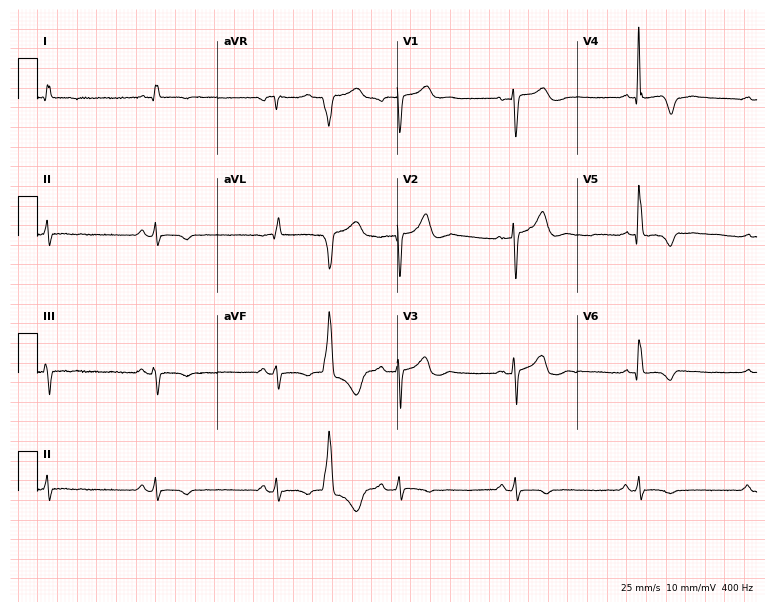
ECG — a female patient, 73 years old. Screened for six findings — first-degree AV block, right bundle branch block, left bundle branch block, sinus bradycardia, atrial fibrillation, sinus tachycardia — none is recorded.